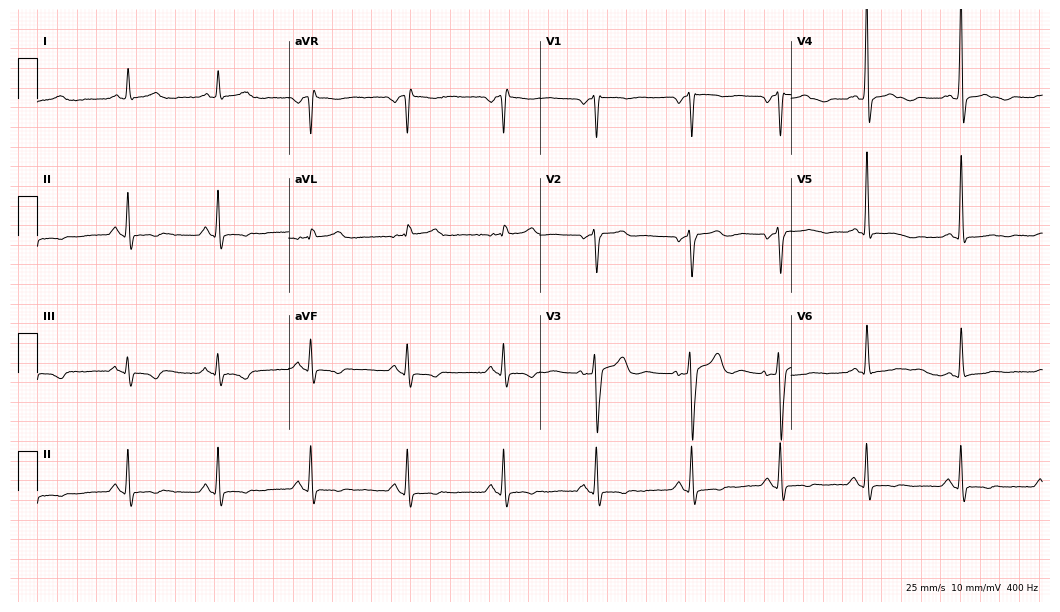
12-lead ECG (10.2-second recording at 400 Hz) from a 62-year-old male patient. Screened for six findings — first-degree AV block, right bundle branch block (RBBB), left bundle branch block (LBBB), sinus bradycardia, atrial fibrillation (AF), sinus tachycardia — none is recorded. Other findings, if any, are not listed.